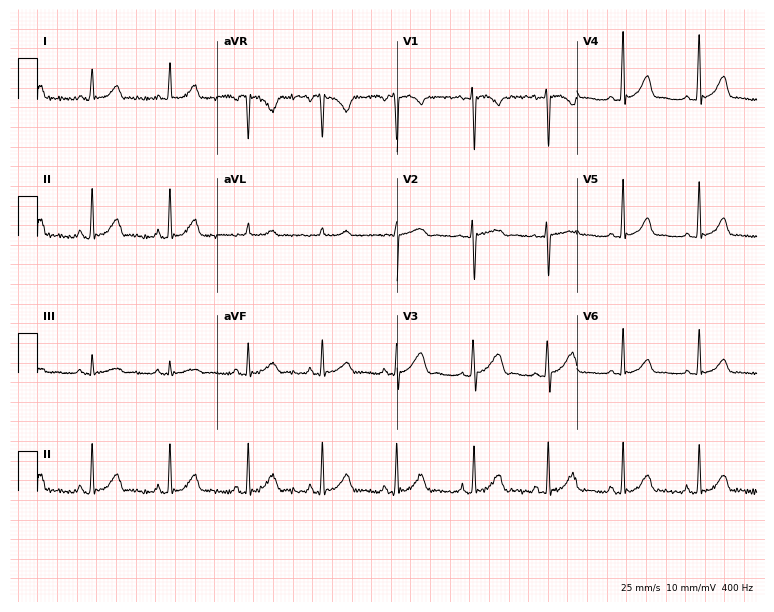
ECG (7.3-second recording at 400 Hz) — a 24-year-old woman. Labelled as a normal ECG.